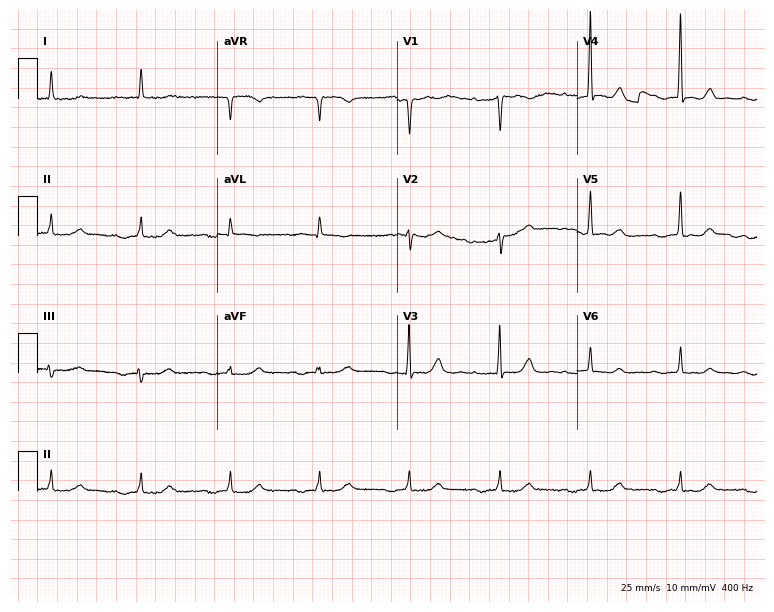
Electrocardiogram (7.3-second recording at 400 Hz), a woman, 73 years old. Of the six screened findings (first-degree AV block, right bundle branch block, left bundle branch block, sinus bradycardia, atrial fibrillation, sinus tachycardia), none is recorded. Findings outside these six are not listed.